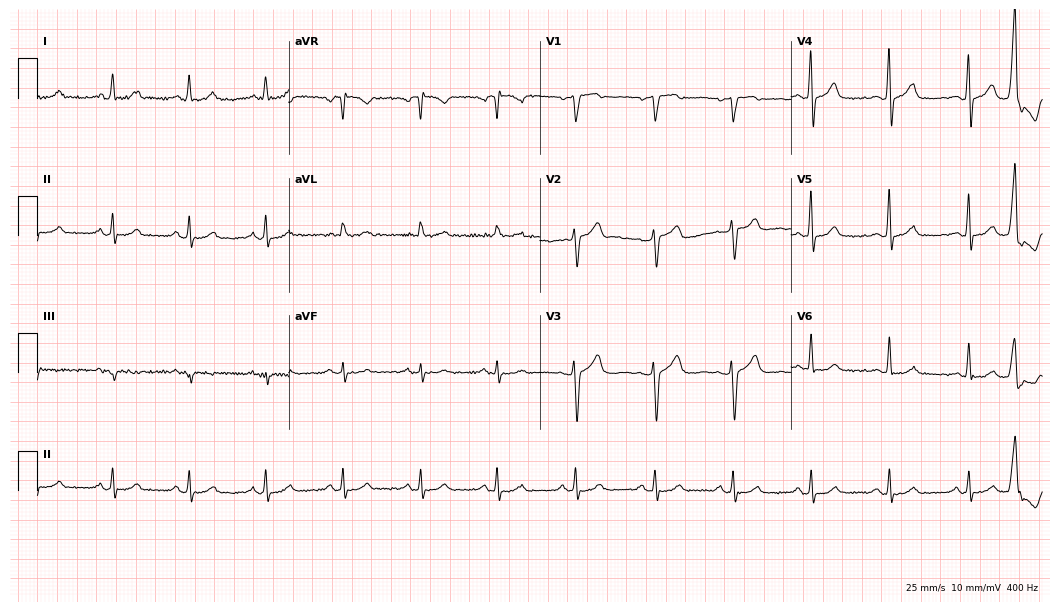
Electrocardiogram (10.2-second recording at 400 Hz), a 48-year-old female patient. Overall reading on record: normal ECG.